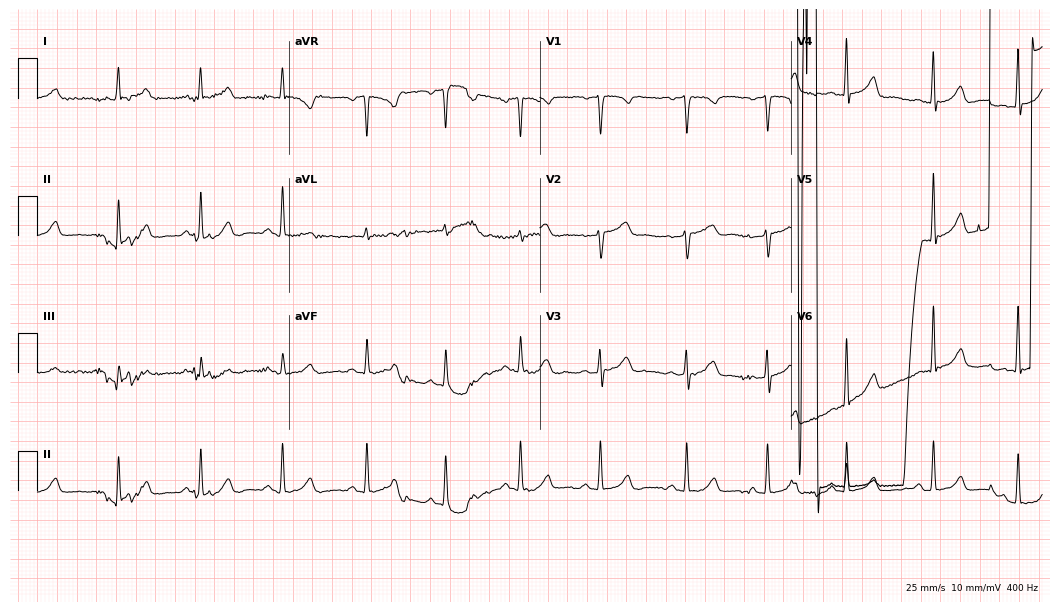
12-lead ECG from a 34-year-old woman. No first-degree AV block, right bundle branch block (RBBB), left bundle branch block (LBBB), sinus bradycardia, atrial fibrillation (AF) or sinus tachycardia recorded for this tracing. Findings outside these six are not listed.